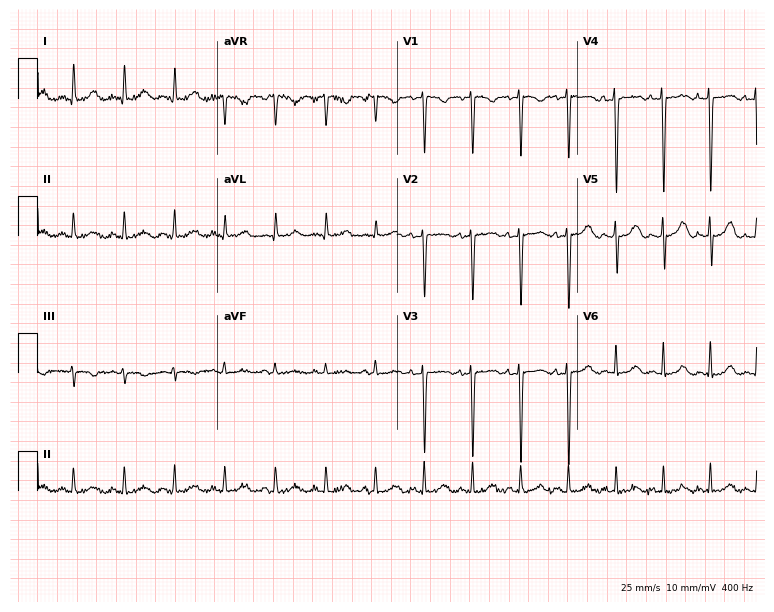
12-lead ECG (7.3-second recording at 400 Hz) from a female, 26 years old. Screened for six findings — first-degree AV block, right bundle branch block (RBBB), left bundle branch block (LBBB), sinus bradycardia, atrial fibrillation (AF), sinus tachycardia — none is recorded.